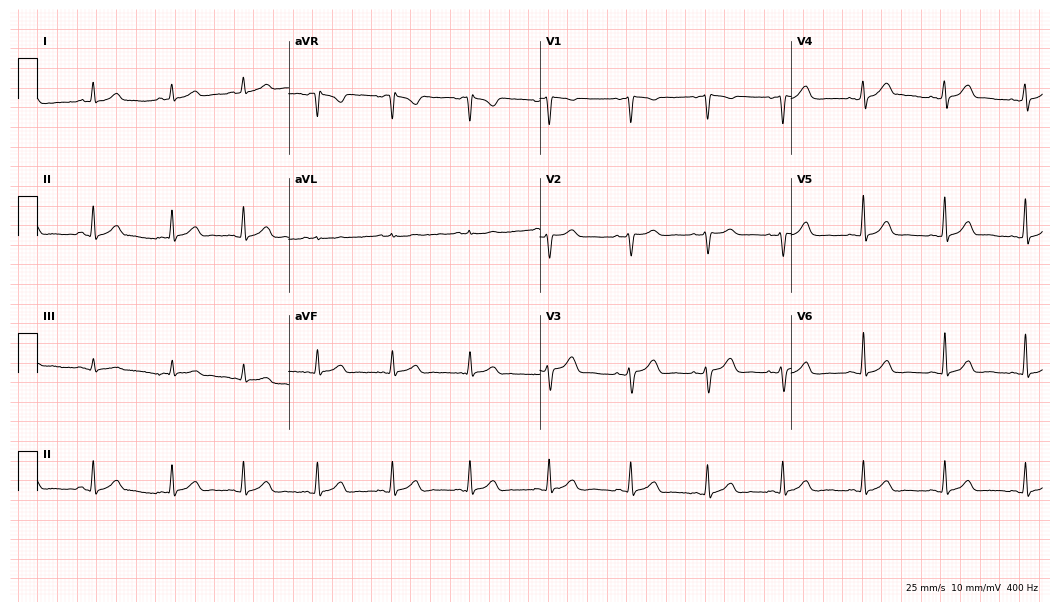
12-lead ECG from a female patient, 38 years old. Labelled as a normal ECG.